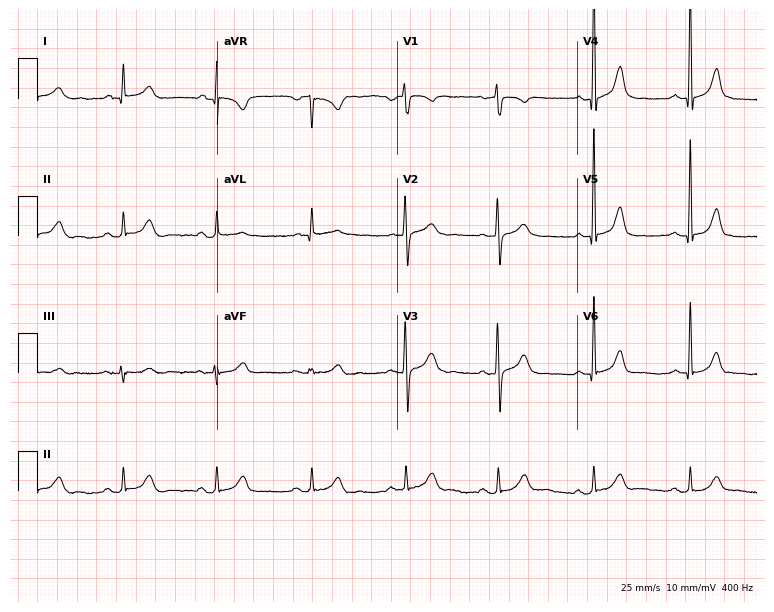
Resting 12-lead electrocardiogram (7.3-second recording at 400 Hz). Patient: a 63-year-old woman. Read as a normal ECG.